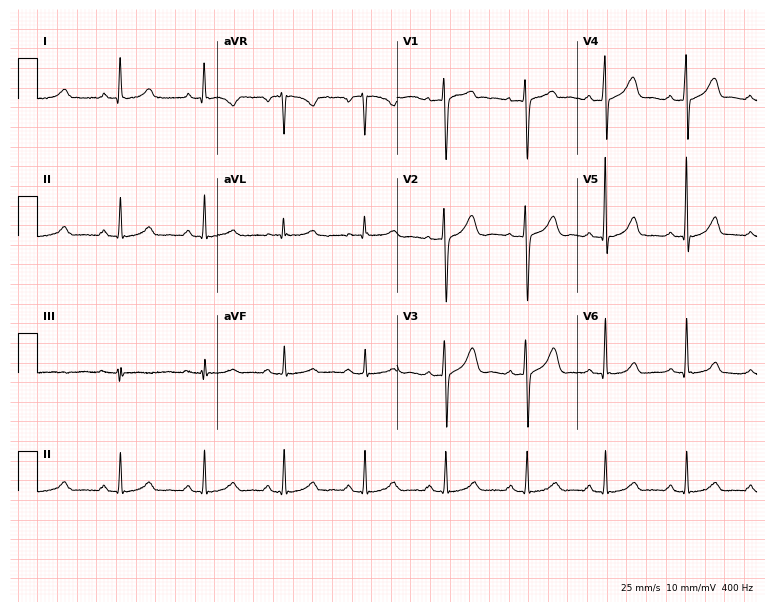
12-lead ECG from a 49-year-old female. Recorded interpretation: within normal limits.